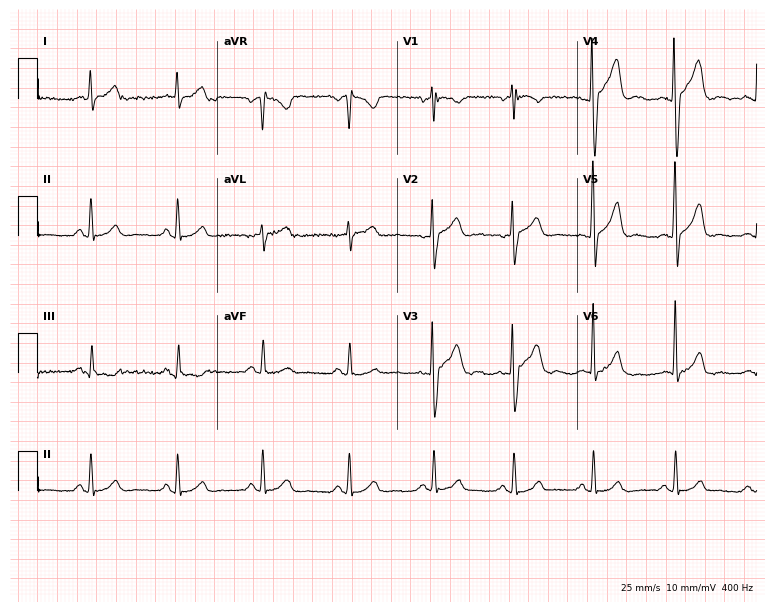
Standard 12-lead ECG recorded from a 38-year-old man. None of these six findings is recorded: first-degree AV block, right bundle branch block (RBBB), left bundle branch block (LBBB), sinus bradycardia, atrial fibrillation (AF), sinus tachycardia.